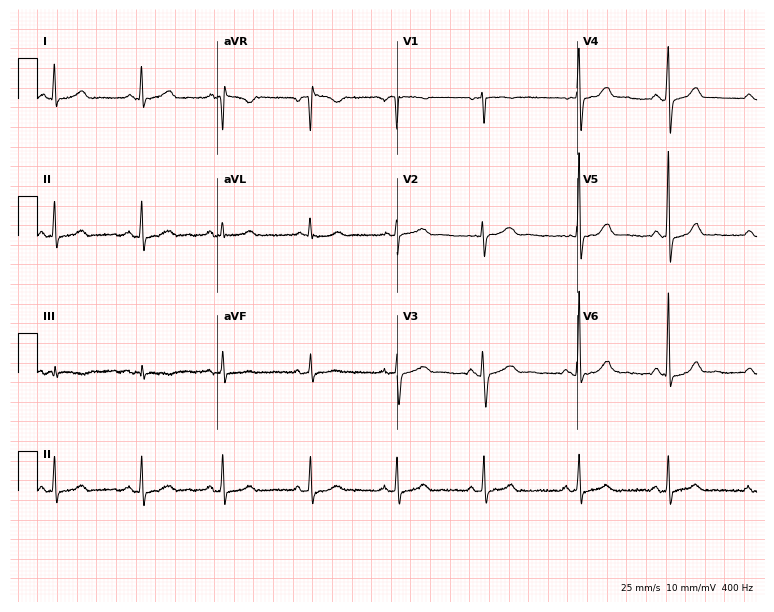
12-lead ECG (7.3-second recording at 400 Hz) from a 37-year-old female patient. Labelled as a normal ECG.